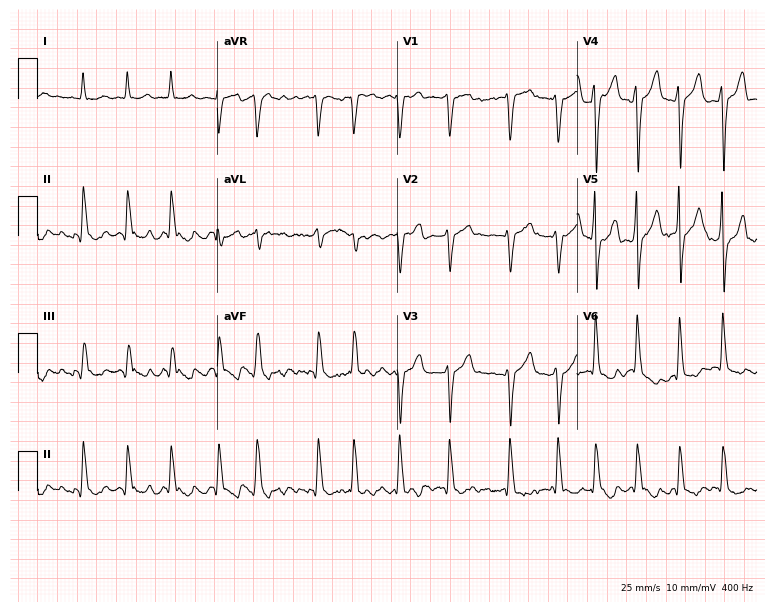
12-lead ECG from a male patient, 66 years old. Findings include atrial fibrillation (AF).